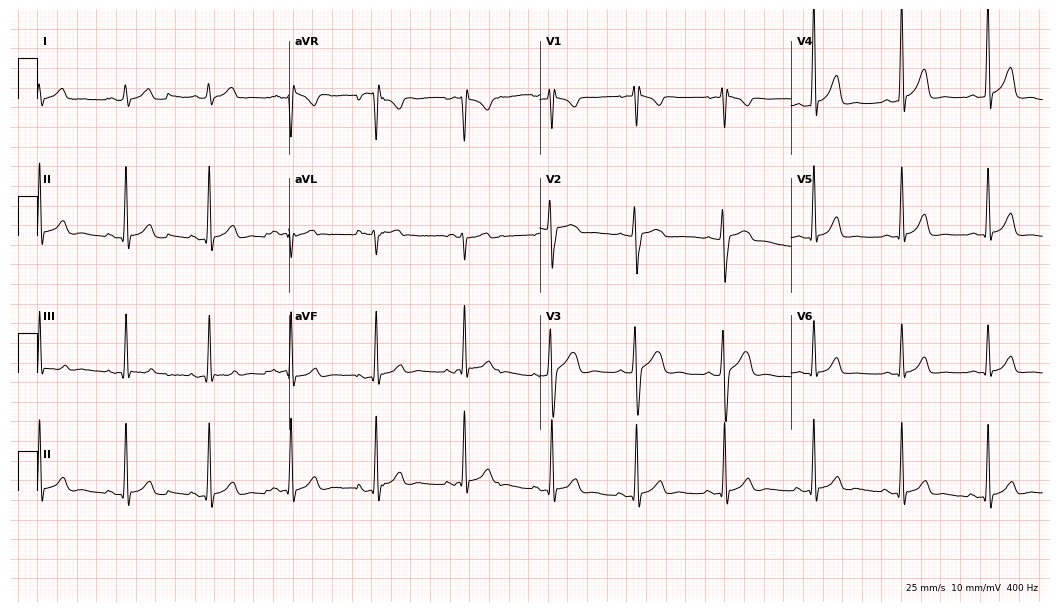
ECG — a 21-year-old male patient. Labelled as a normal ECG.